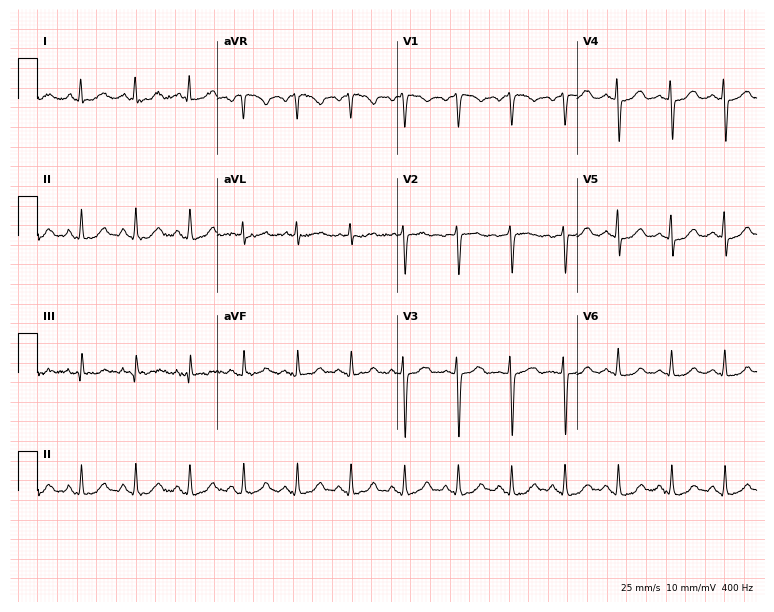
ECG (7.3-second recording at 400 Hz) — a female patient, 47 years old. Findings include sinus tachycardia (a sinus rate of 100 beats per minute or more).